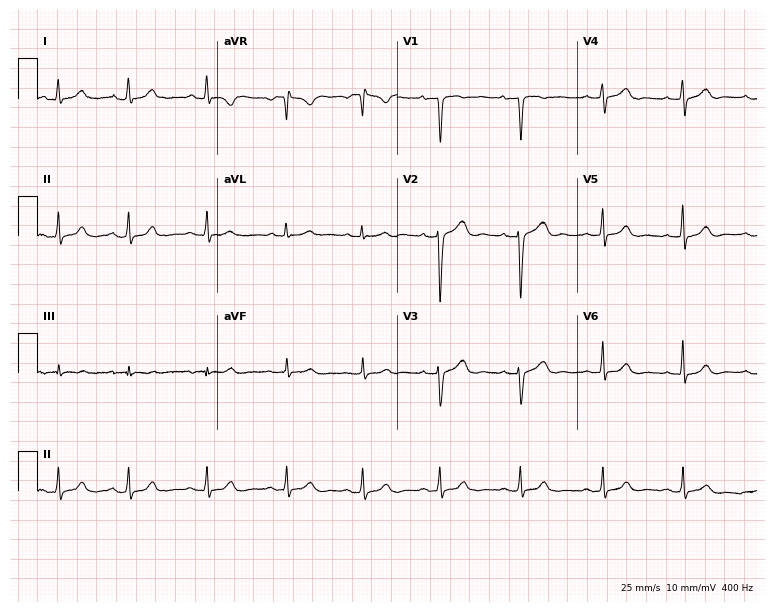
12-lead ECG from a woman, 33 years old (7.3-second recording at 400 Hz). No first-degree AV block, right bundle branch block, left bundle branch block, sinus bradycardia, atrial fibrillation or sinus tachycardia recorded for this tracing. Findings outside these six are not listed.